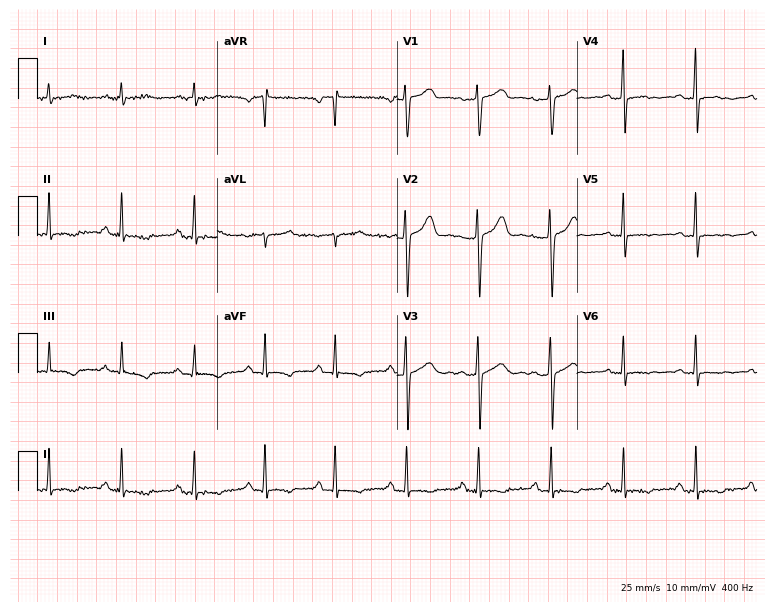
12-lead ECG (7.3-second recording at 400 Hz) from a female patient, 35 years old. Screened for six findings — first-degree AV block, right bundle branch block, left bundle branch block, sinus bradycardia, atrial fibrillation, sinus tachycardia — none is recorded.